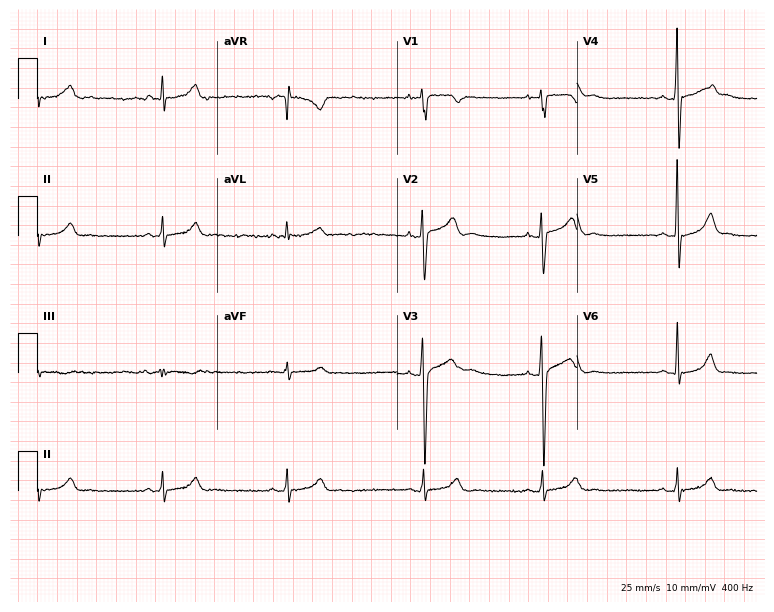
Resting 12-lead electrocardiogram. Patient: a male, 19 years old. The tracing shows sinus bradycardia (a sinus rate of 50 beats per minute or less).